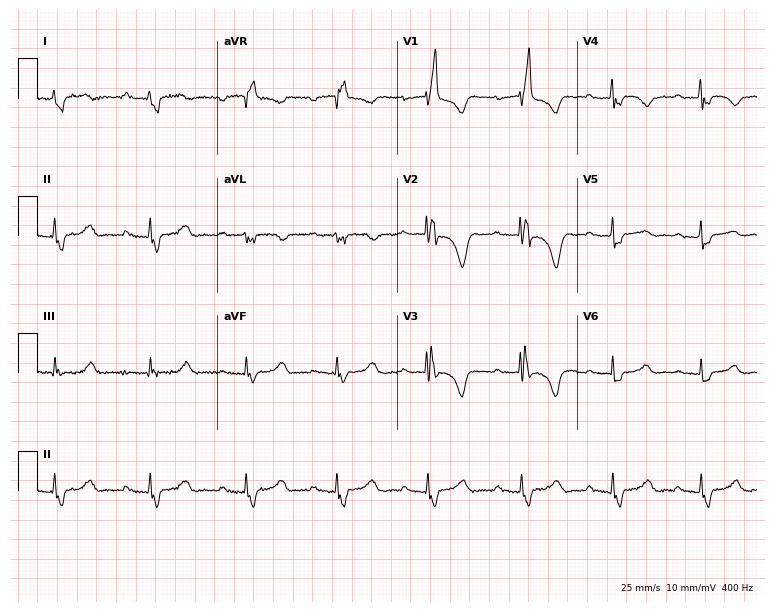
Standard 12-lead ECG recorded from a female patient, 35 years old (7.3-second recording at 400 Hz). The tracing shows first-degree AV block, right bundle branch block (RBBB).